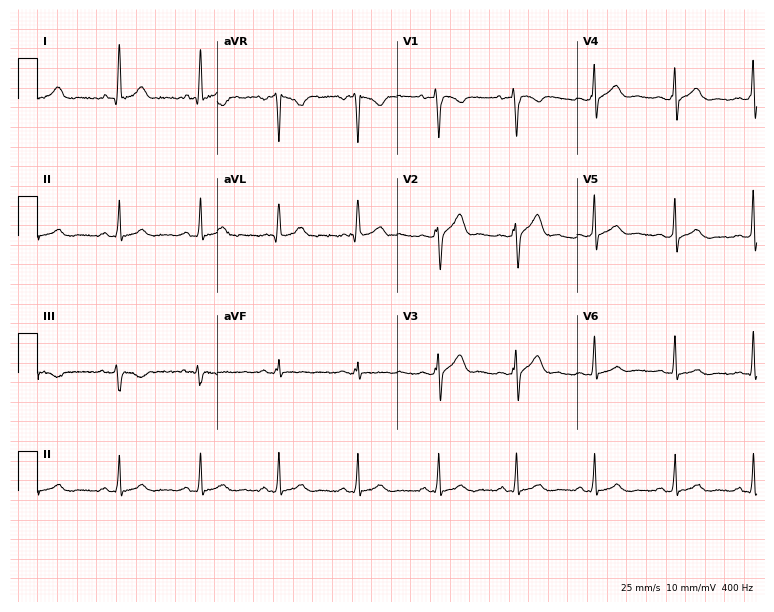
Electrocardiogram, a male patient, 31 years old. Overall reading on record: normal ECG.